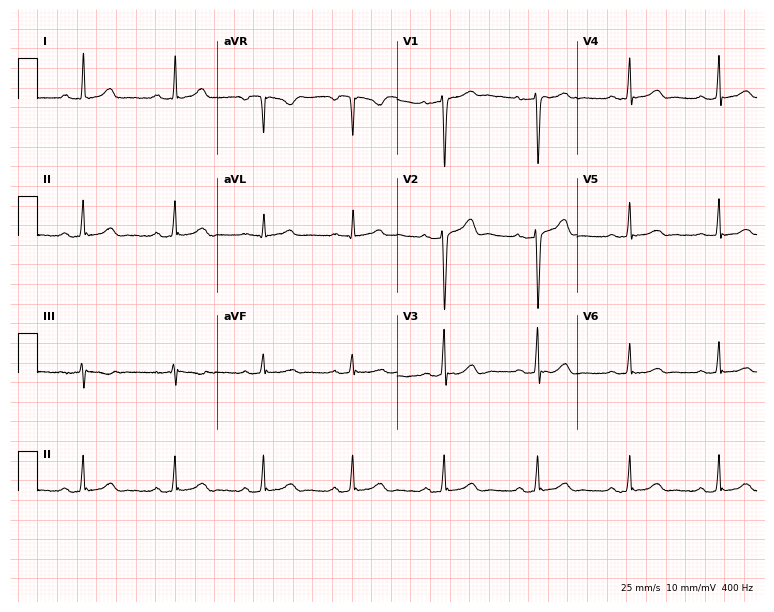
12-lead ECG from a female patient, 37 years old (7.3-second recording at 400 Hz). Recorded interpretation: within normal limits.